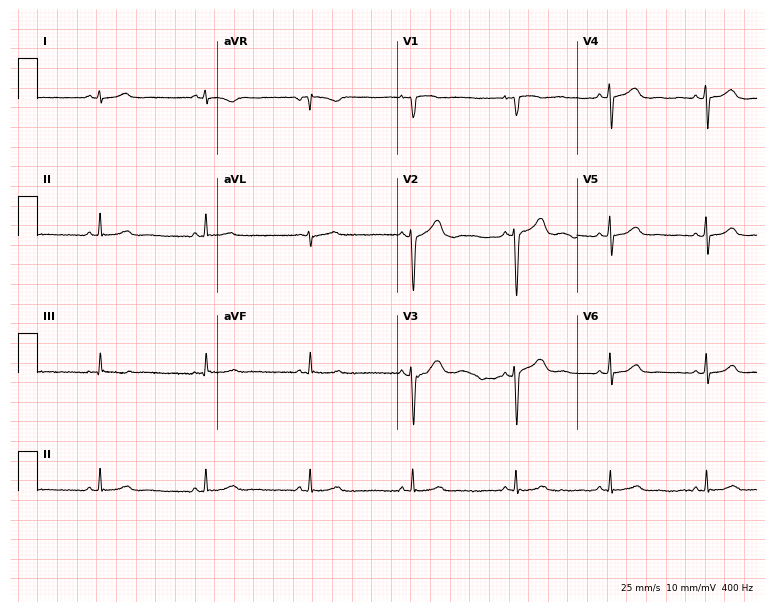
12-lead ECG (7.3-second recording at 400 Hz) from a female, 18 years old. Screened for six findings — first-degree AV block, right bundle branch block, left bundle branch block, sinus bradycardia, atrial fibrillation, sinus tachycardia — none is recorded.